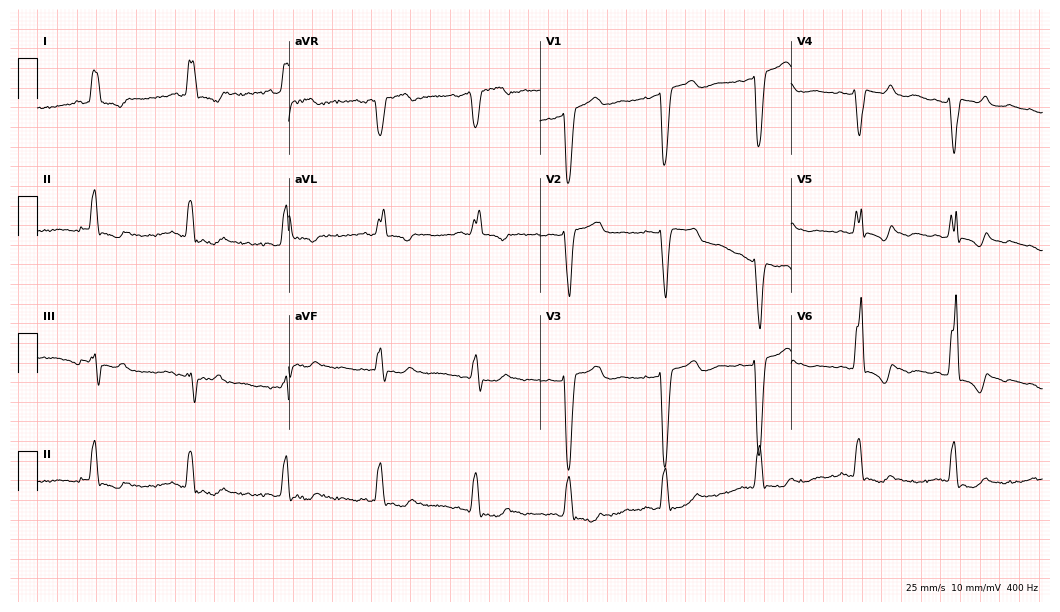
12-lead ECG from a female, 79 years old. Shows left bundle branch block.